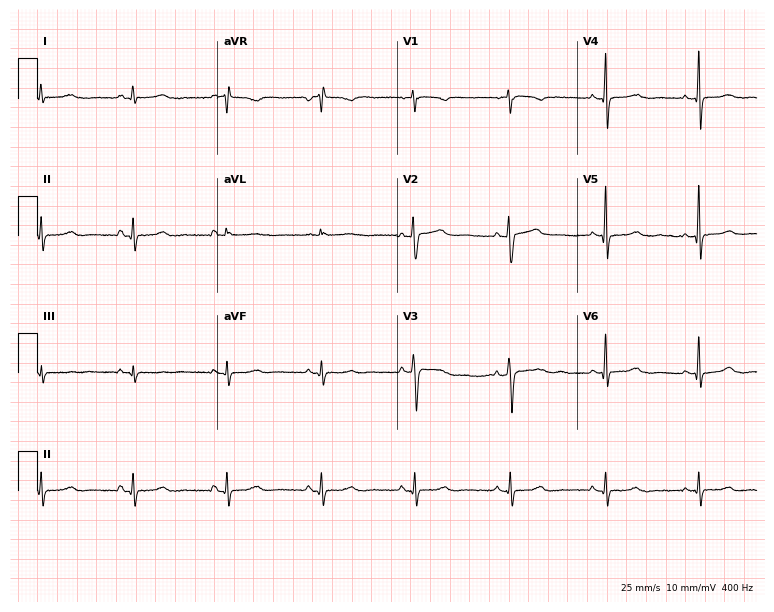
Electrocardiogram (7.3-second recording at 400 Hz), a female, 50 years old. Of the six screened findings (first-degree AV block, right bundle branch block (RBBB), left bundle branch block (LBBB), sinus bradycardia, atrial fibrillation (AF), sinus tachycardia), none is recorded. Other findings, if any, are not listed.